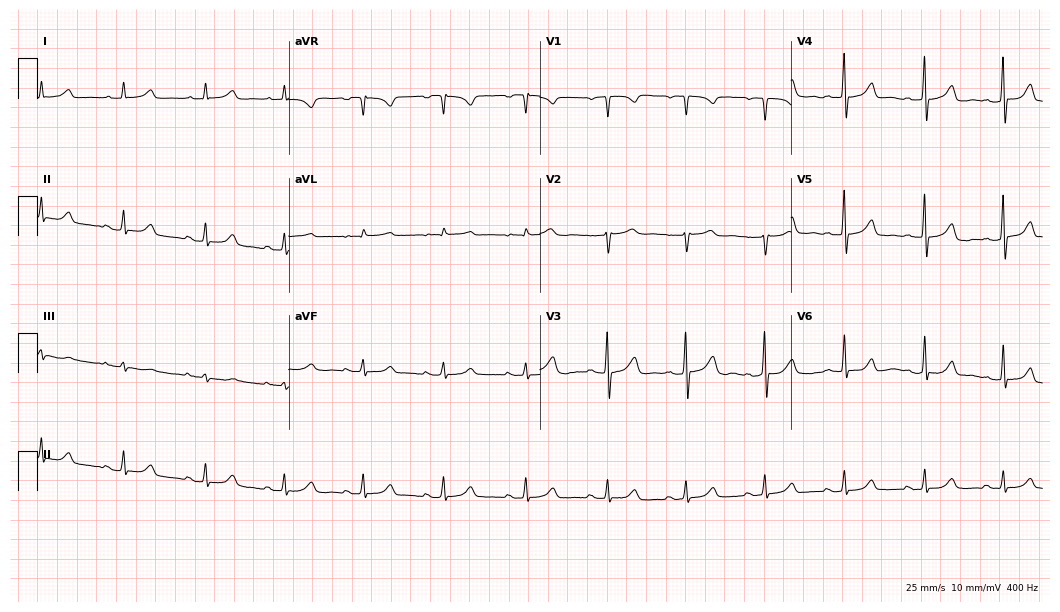
Electrocardiogram (10.2-second recording at 400 Hz), a female, 32 years old. Overall reading on record: normal ECG.